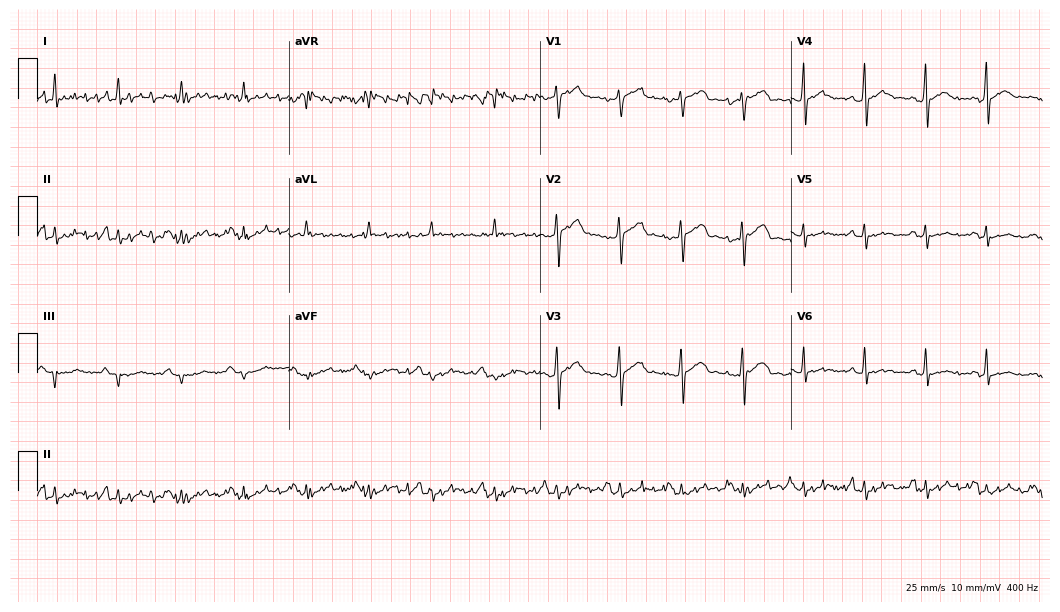
12-lead ECG from a 57-year-old male (10.2-second recording at 400 Hz). No first-degree AV block, right bundle branch block, left bundle branch block, sinus bradycardia, atrial fibrillation or sinus tachycardia recorded for this tracing.